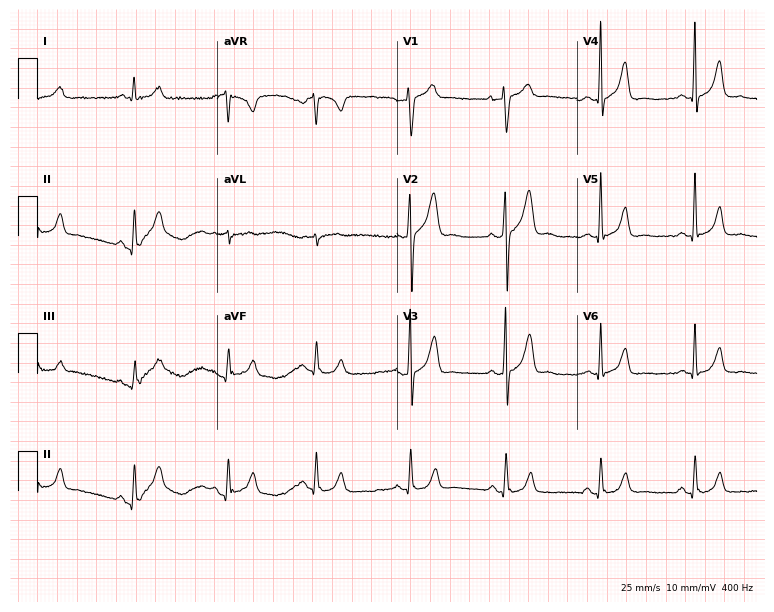
12-lead ECG from a 28-year-old man. Screened for six findings — first-degree AV block, right bundle branch block, left bundle branch block, sinus bradycardia, atrial fibrillation, sinus tachycardia — none is recorded. Findings outside these six are not listed.